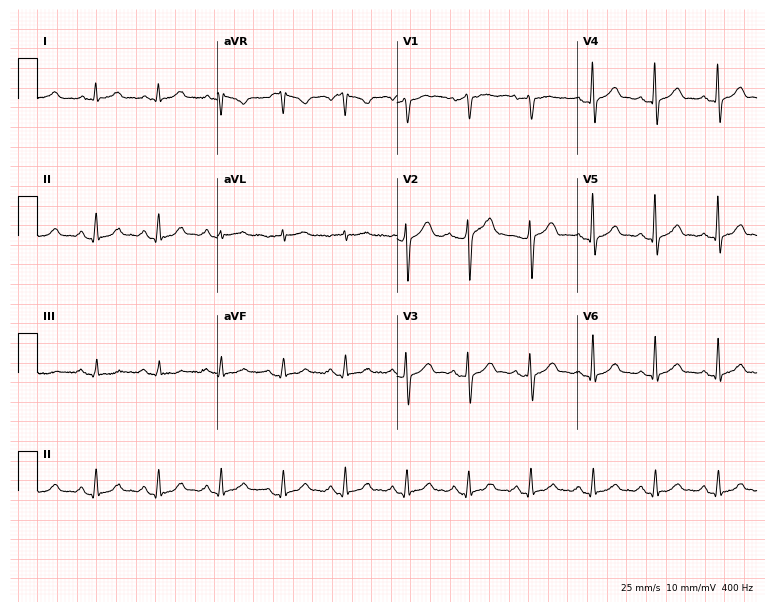
12-lead ECG from a 62-year-old male patient. Labelled as a normal ECG.